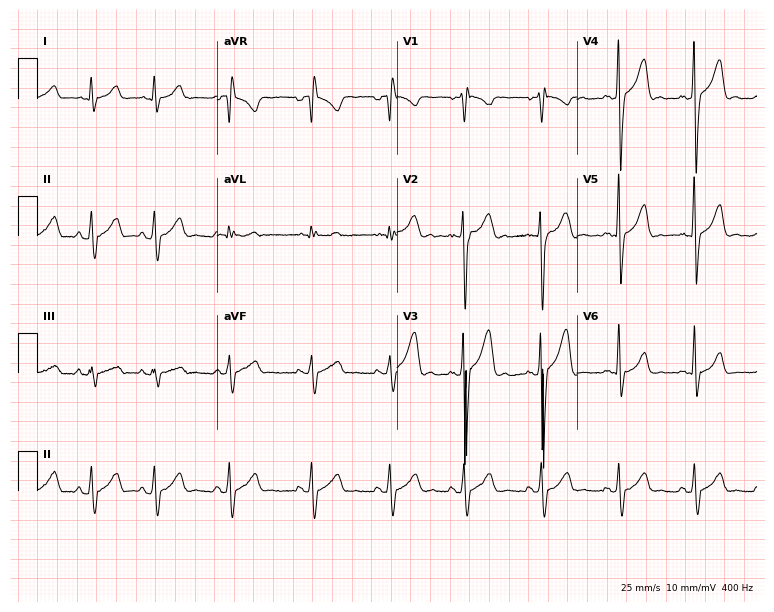
Resting 12-lead electrocardiogram (7.3-second recording at 400 Hz). Patient: a male, 21 years old. None of these six findings is recorded: first-degree AV block, right bundle branch block, left bundle branch block, sinus bradycardia, atrial fibrillation, sinus tachycardia. Findings outside these six are not listed.